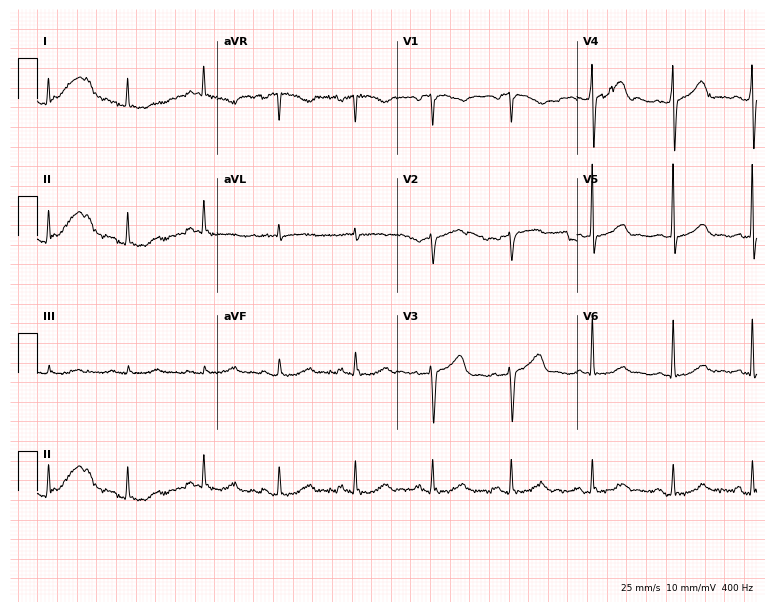
Resting 12-lead electrocardiogram (7.3-second recording at 400 Hz). Patient: a 70-year-old male. Read as a normal ECG.